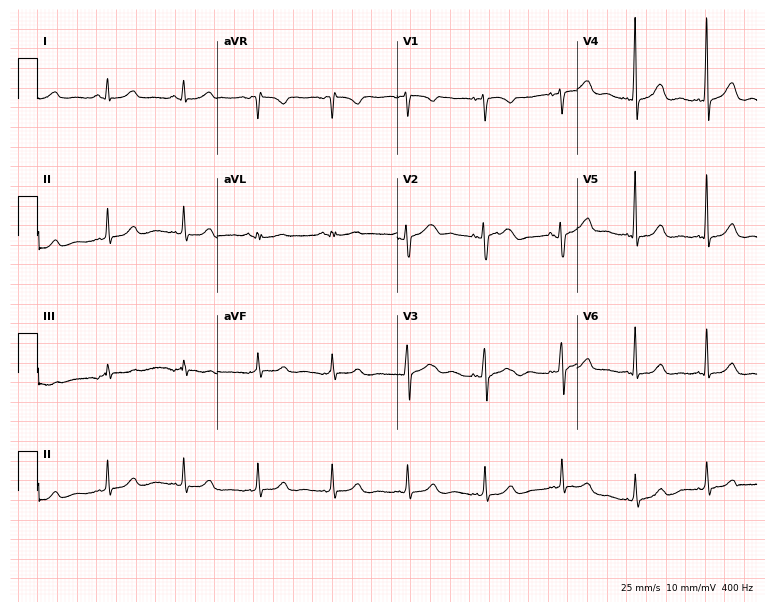
Electrocardiogram, a female patient, 62 years old. Overall reading on record: normal ECG.